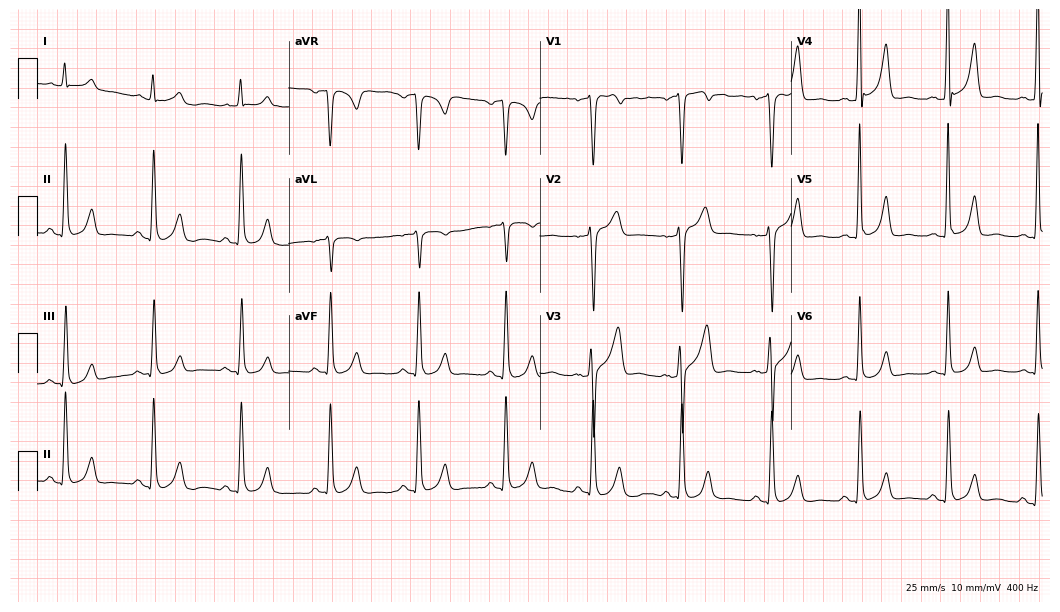
Standard 12-lead ECG recorded from a male, 49 years old (10.2-second recording at 400 Hz). None of these six findings is recorded: first-degree AV block, right bundle branch block, left bundle branch block, sinus bradycardia, atrial fibrillation, sinus tachycardia. Only these six findings were labelled.